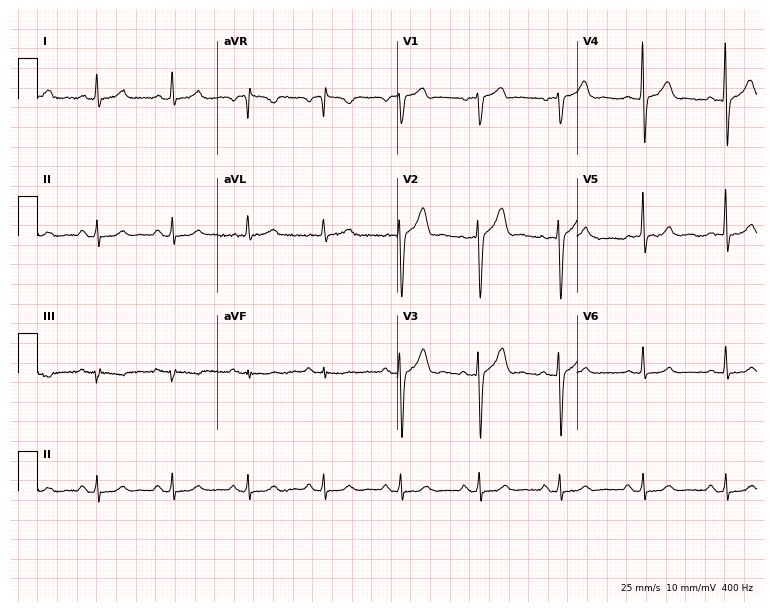
12-lead ECG (7.3-second recording at 400 Hz) from a 60-year-old man. Labelled as a normal ECG.